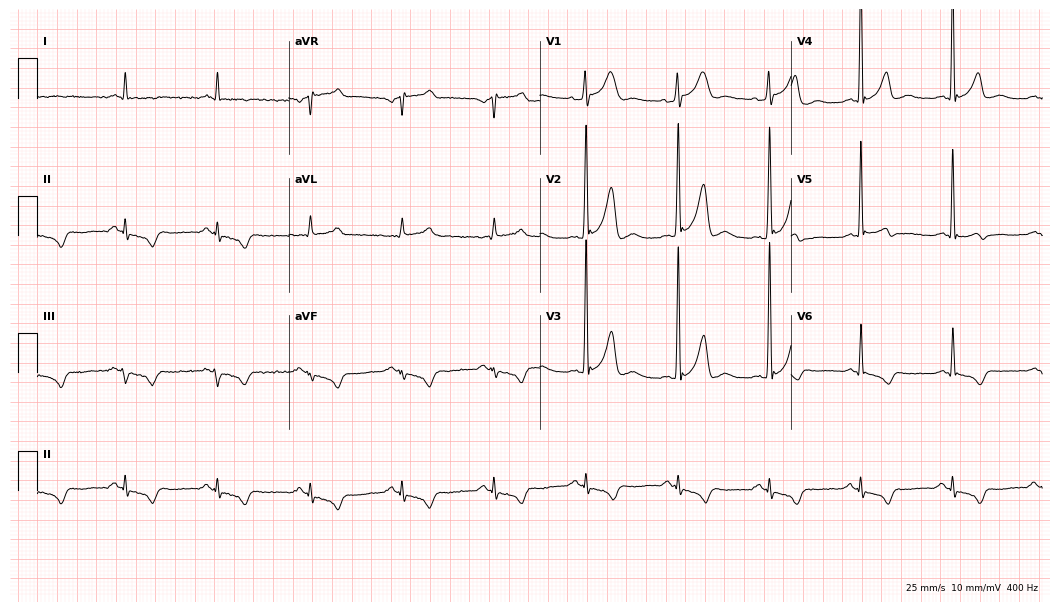
Electrocardiogram (10.2-second recording at 400 Hz), a 58-year-old male. Of the six screened findings (first-degree AV block, right bundle branch block (RBBB), left bundle branch block (LBBB), sinus bradycardia, atrial fibrillation (AF), sinus tachycardia), none is recorded.